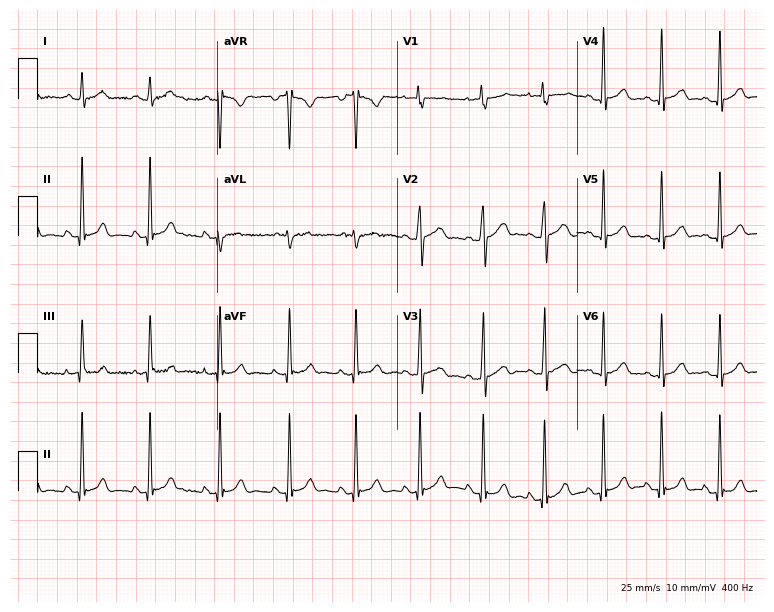
12-lead ECG (7.3-second recording at 400 Hz) from a 19-year-old female patient. Screened for six findings — first-degree AV block, right bundle branch block, left bundle branch block, sinus bradycardia, atrial fibrillation, sinus tachycardia — none is recorded. Findings outside these six are not listed.